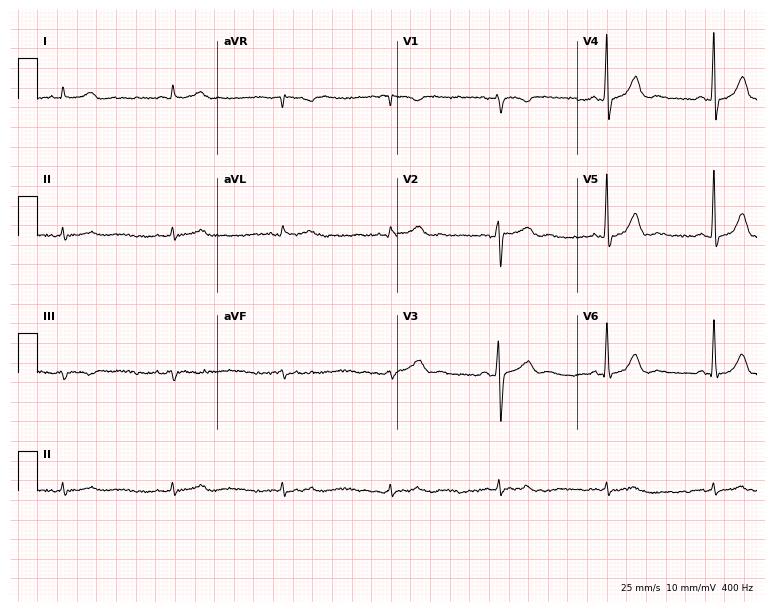
Electrocardiogram (7.3-second recording at 400 Hz), a 49-year-old man. Overall reading on record: normal ECG.